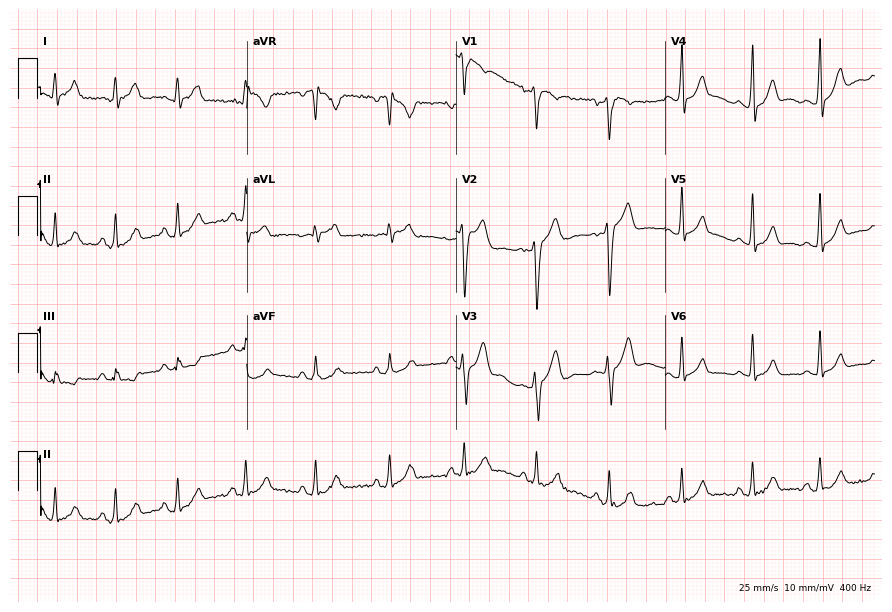
Electrocardiogram, a male, 17 years old. Overall reading on record: normal ECG.